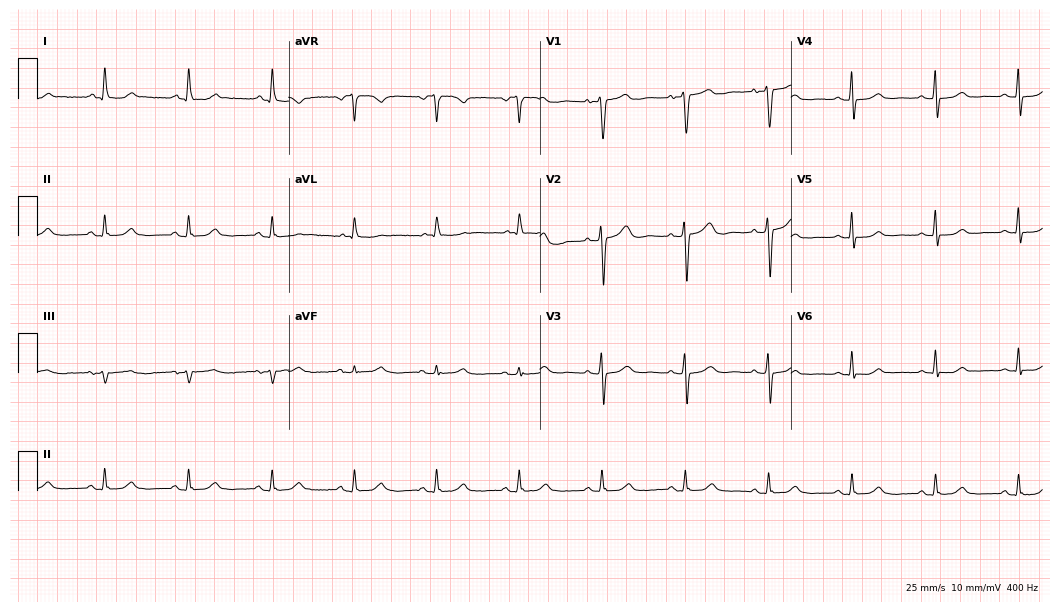
12-lead ECG from a female patient, 59 years old. Labelled as a normal ECG.